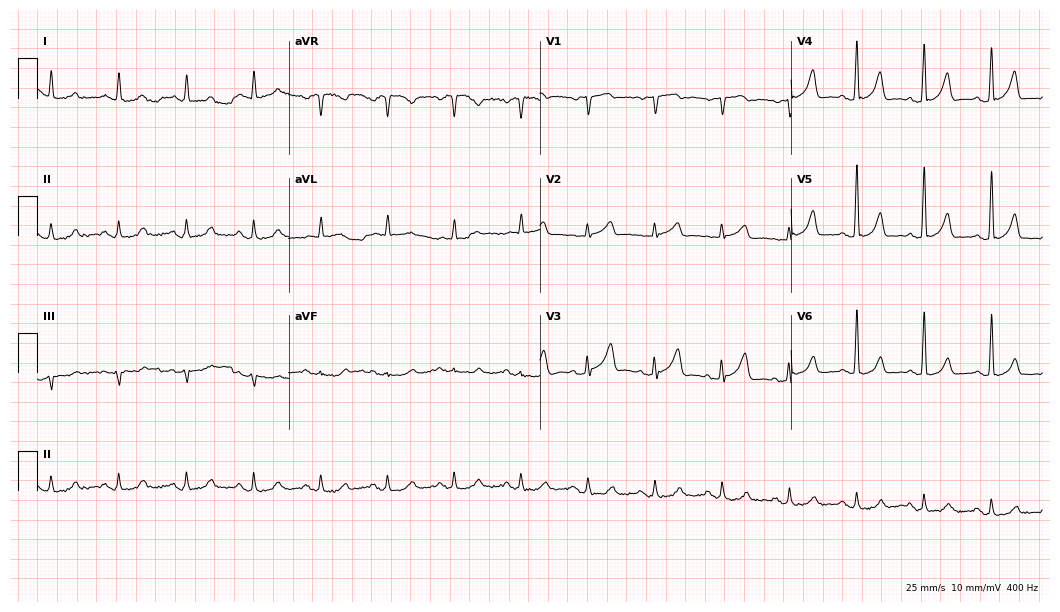
12-lead ECG from a man, 73 years old. Recorded interpretation: within normal limits.